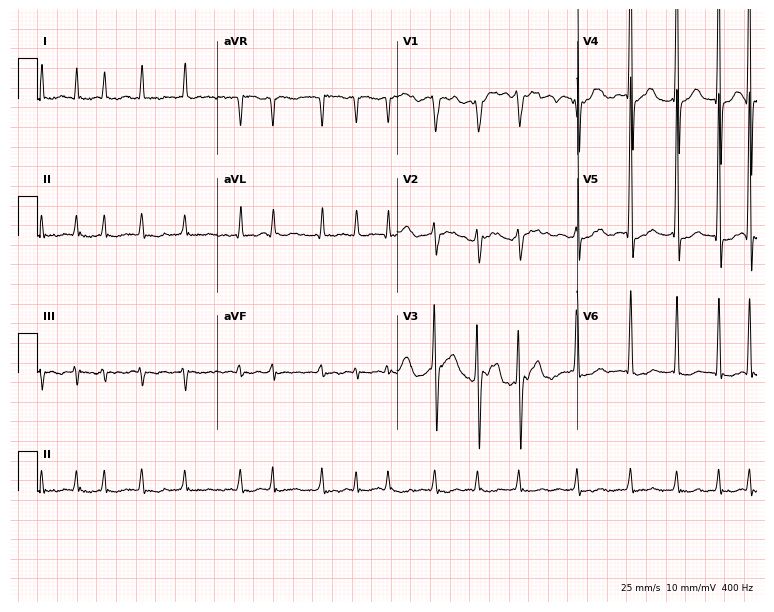
Electrocardiogram, a 76-year-old man. Interpretation includes atrial fibrillation.